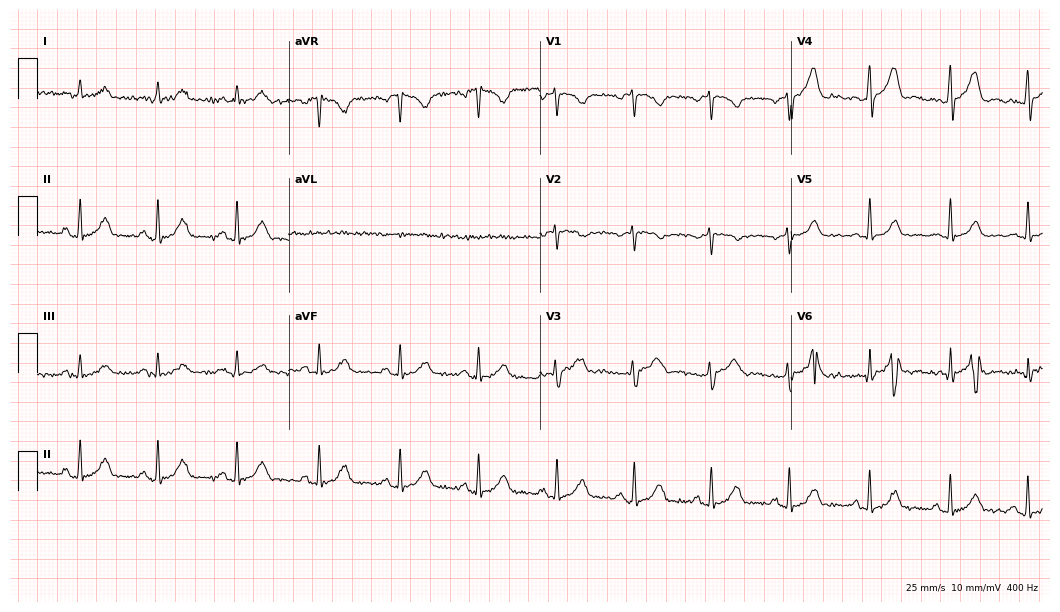
12-lead ECG from a 45-year-old woman. Screened for six findings — first-degree AV block, right bundle branch block, left bundle branch block, sinus bradycardia, atrial fibrillation, sinus tachycardia — none is recorded. Findings outside these six are not listed.